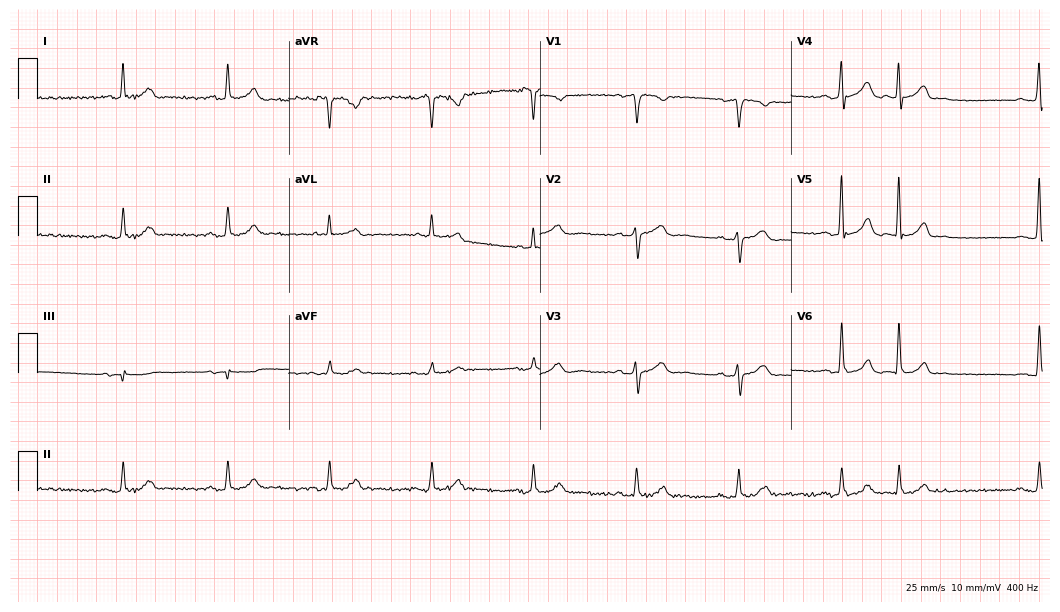
Electrocardiogram (10.2-second recording at 400 Hz), a 69-year-old man. Overall reading on record: normal ECG.